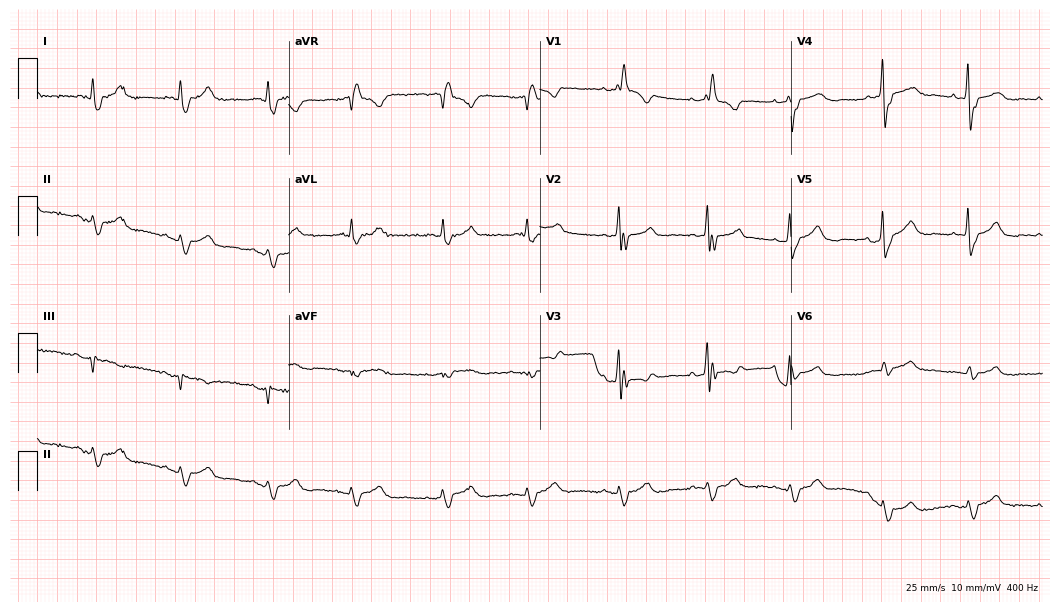
Standard 12-lead ECG recorded from a 79-year-old female patient (10.2-second recording at 400 Hz). The tracing shows right bundle branch block (RBBB).